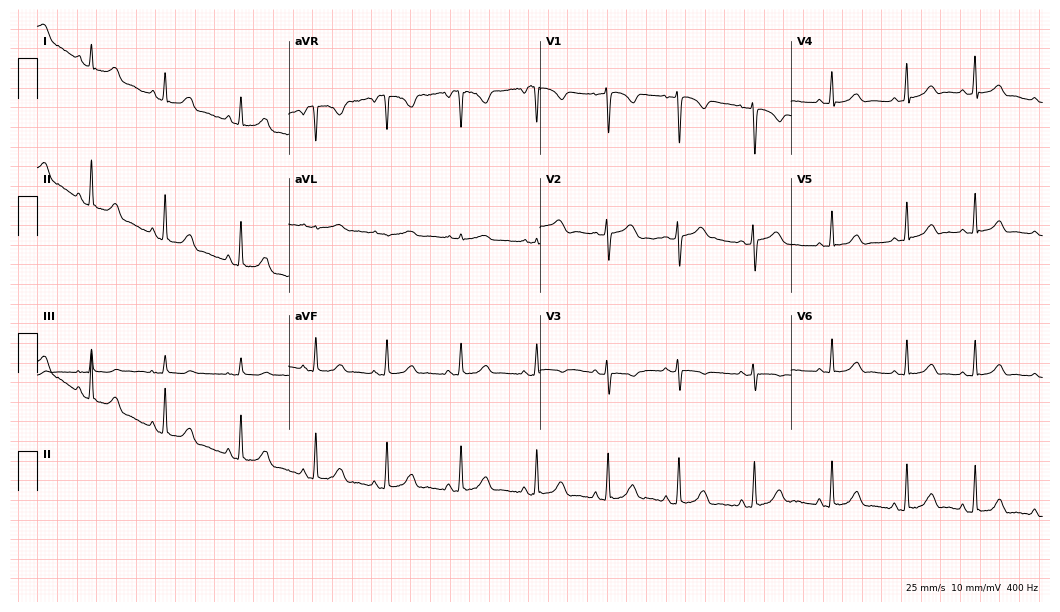
12-lead ECG (10.2-second recording at 400 Hz) from a 25-year-old woman. Labelled as a normal ECG.